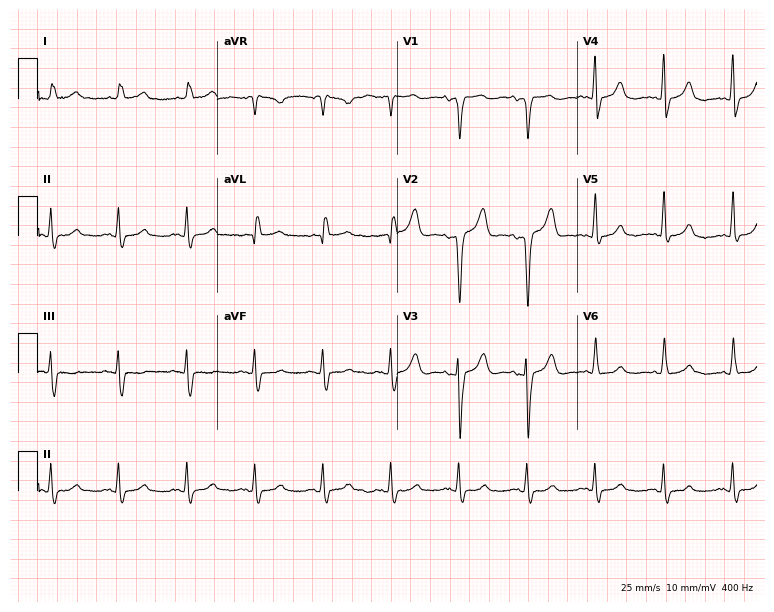
Standard 12-lead ECG recorded from a woman, 83 years old. Read as a normal ECG.